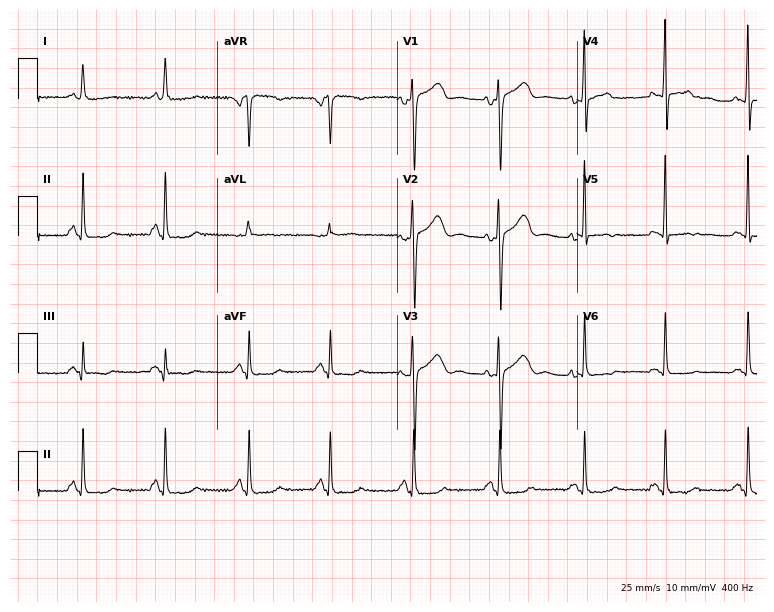
ECG (7.3-second recording at 400 Hz) — a female, 53 years old. Screened for six findings — first-degree AV block, right bundle branch block, left bundle branch block, sinus bradycardia, atrial fibrillation, sinus tachycardia — none is recorded. Findings outside these six are not listed.